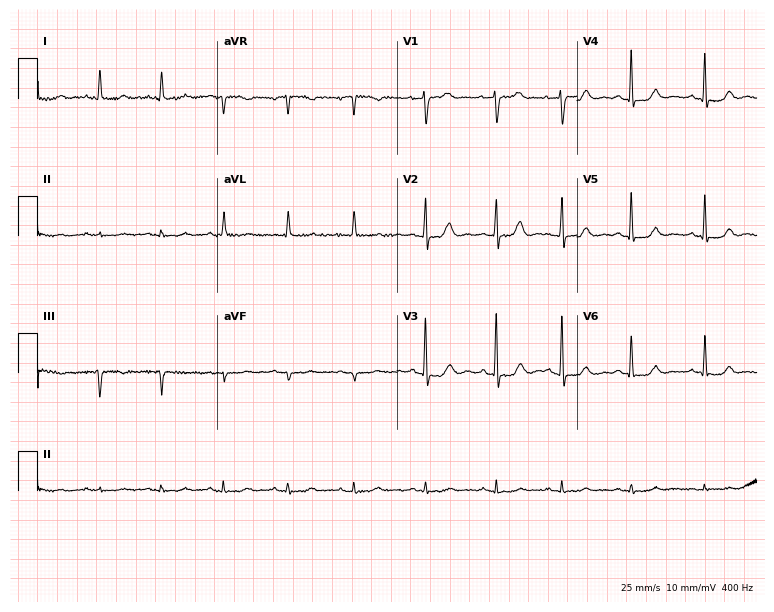
12-lead ECG from a female patient, 75 years old. Screened for six findings — first-degree AV block, right bundle branch block, left bundle branch block, sinus bradycardia, atrial fibrillation, sinus tachycardia — none is recorded.